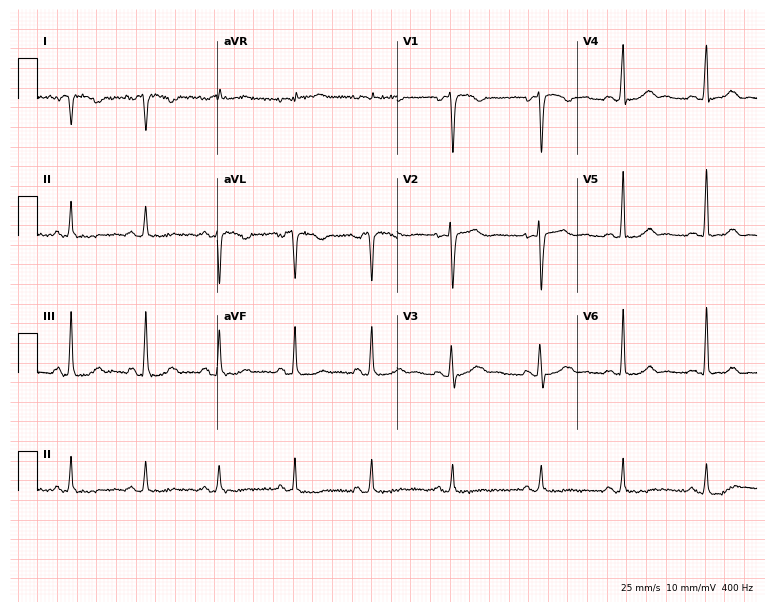
12-lead ECG from a female, 33 years old. No first-degree AV block, right bundle branch block, left bundle branch block, sinus bradycardia, atrial fibrillation or sinus tachycardia recorded for this tracing. Only these six findings were labelled.